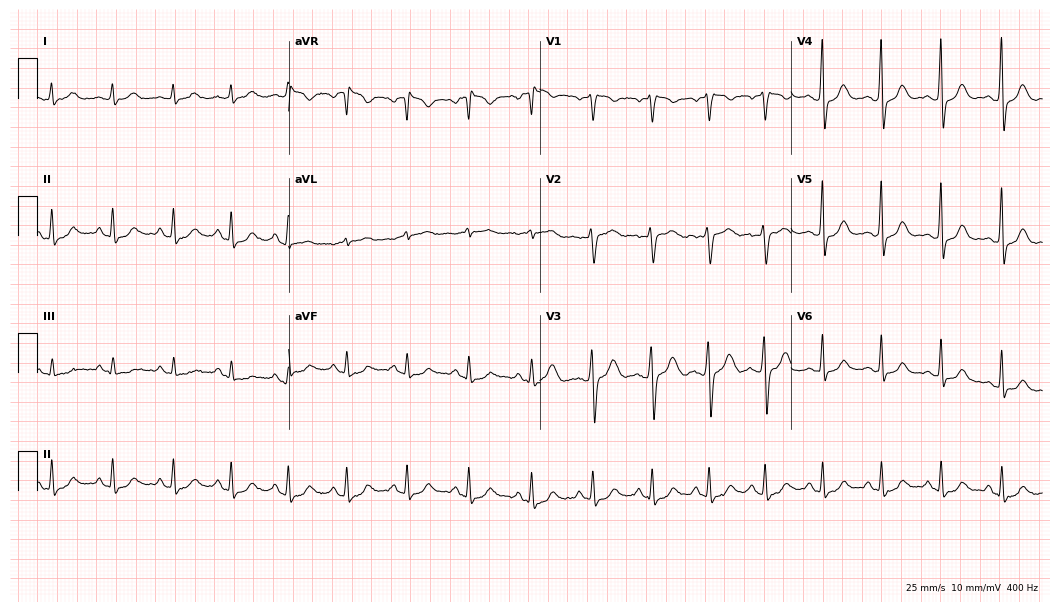
Resting 12-lead electrocardiogram. Patient: a 47-year-old female. Read as a normal ECG.